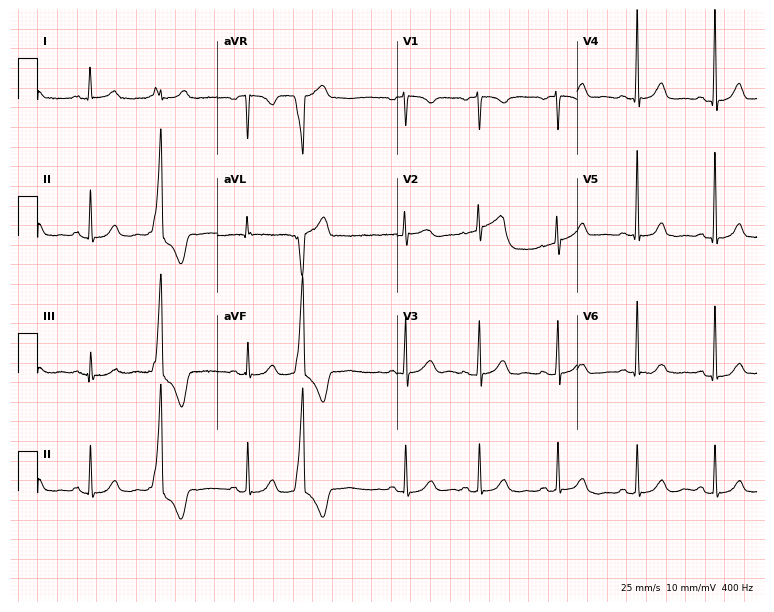
ECG — a female patient, 52 years old. Screened for six findings — first-degree AV block, right bundle branch block, left bundle branch block, sinus bradycardia, atrial fibrillation, sinus tachycardia — none is recorded.